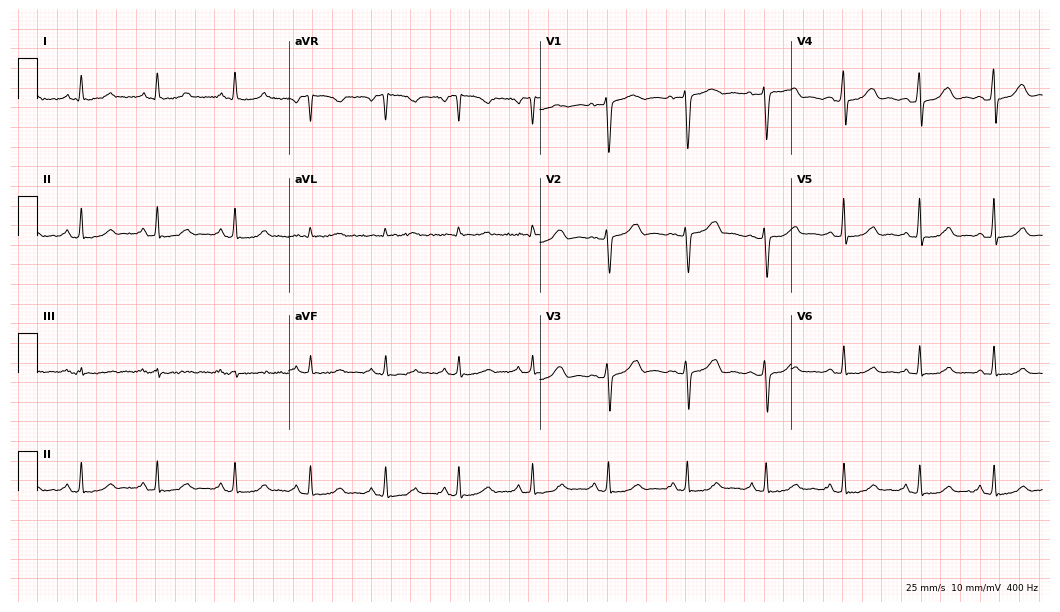
Standard 12-lead ECG recorded from a 57-year-old female patient. Read as a normal ECG.